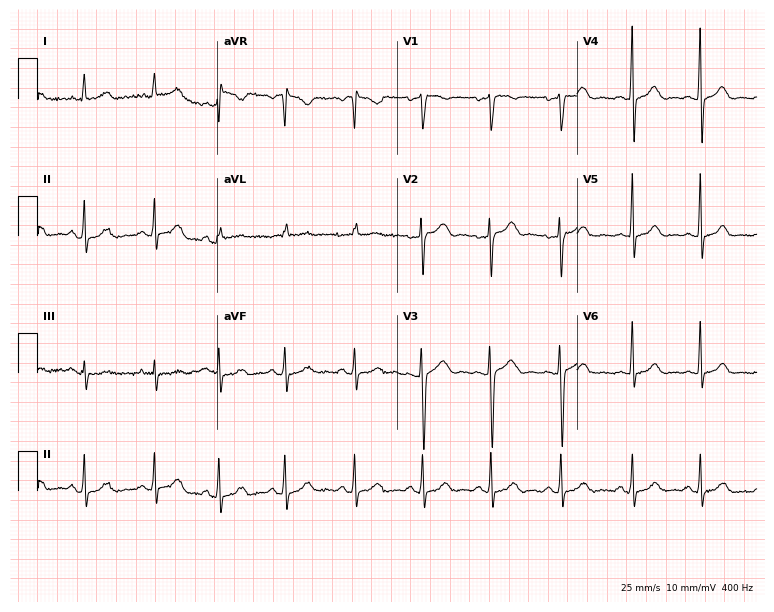
12-lead ECG (7.3-second recording at 400 Hz) from a female, 35 years old. Screened for six findings — first-degree AV block, right bundle branch block, left bundle branch block, sinus bradycardia, atrial fibrillation, sinus tachycardia — none is recorded. Findings outside these six are not listed.